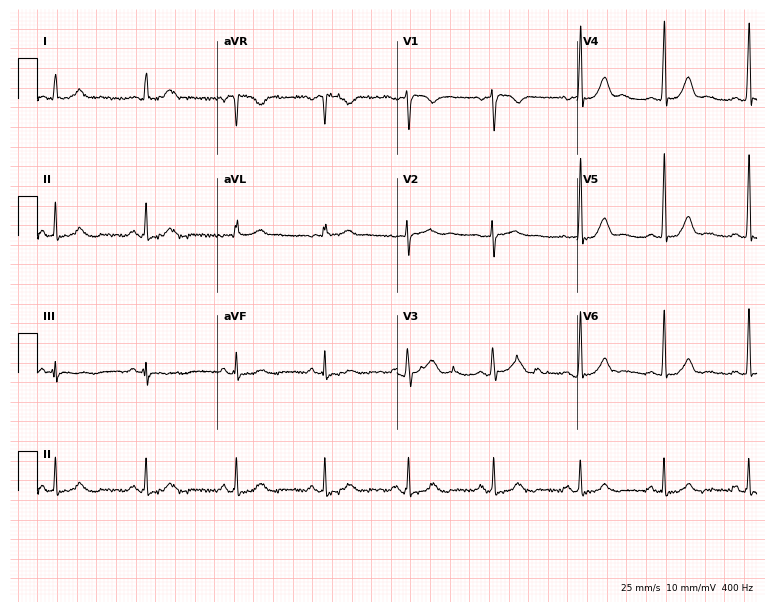
12-lead ECG from a female, 36 years old (7.3-second recording at 400 Hz). Recorded interpretation: within normal limits.